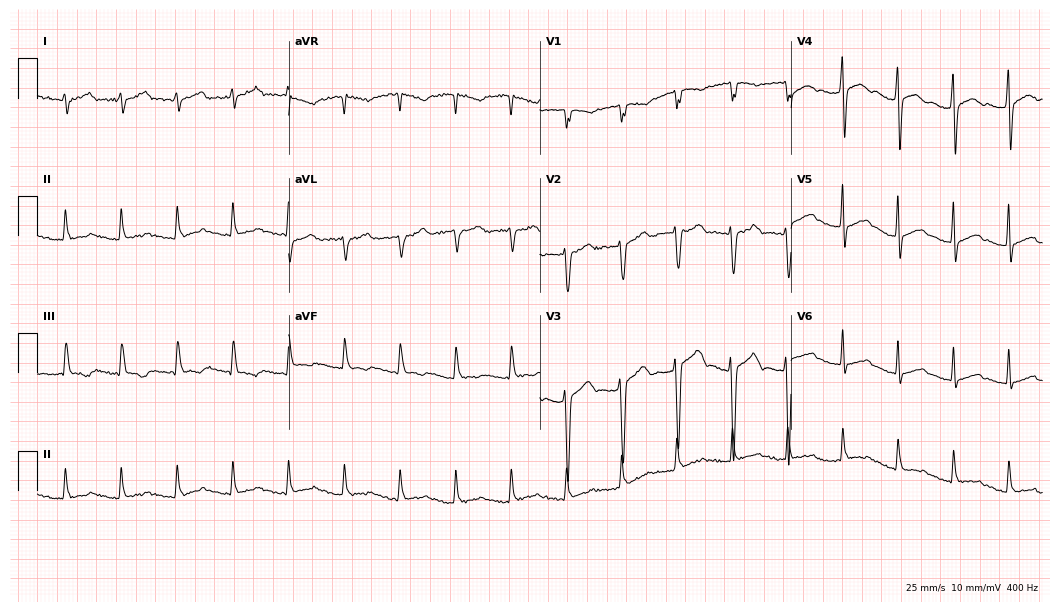
ECG (10.2-second recording at 400 Hz) — a 17-year-old man. Findings include sinus tachycardia (a sinus rate of 100 beats per minute or more).